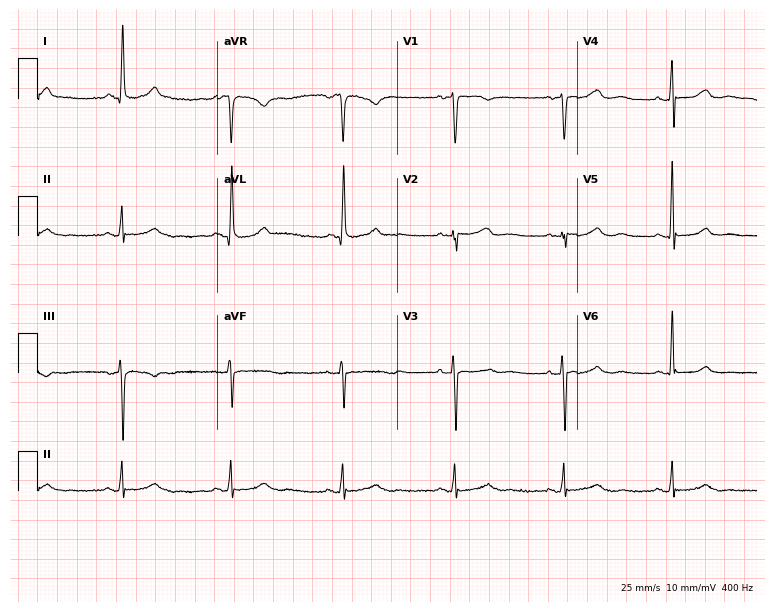
12-lead ECG from a woman, 75 years old. Labelled as a normal ECG.